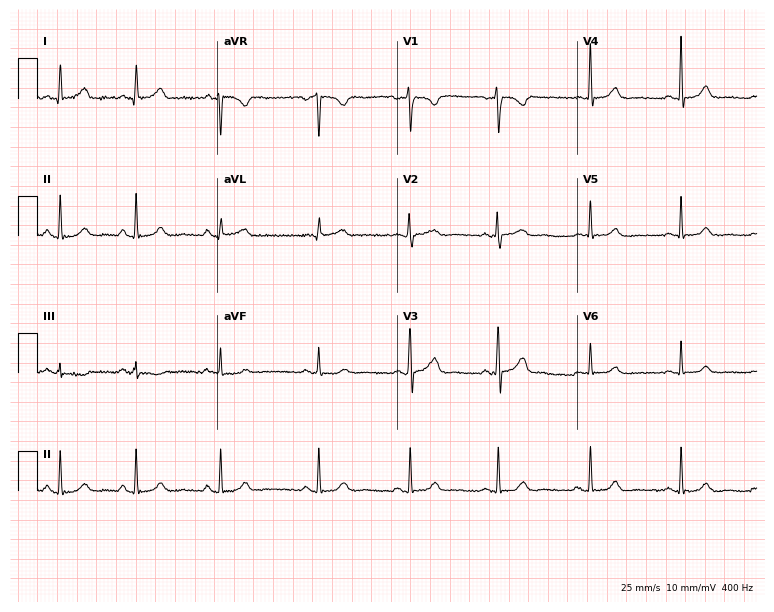
ECG (7.3-second recording at 400 Hz) — a 19-year-old woman. Screened for six findings — first-degree AV block, right bundle branch block, left bundle branch block, sinus bradycardia, atrial fibrillation, sinus tachycardia — none is recorded.